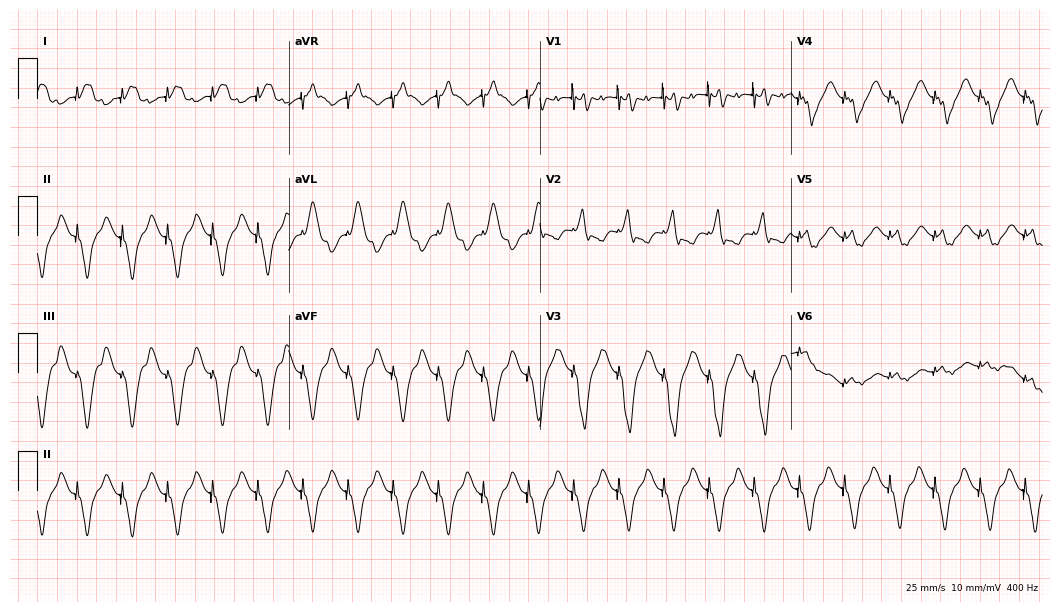
12-lead ECG from an 83-year-old man (10.2-second recording at 400 Hz). Shows sinus tachycardia (a sinus rate of 100 beats per minute or more).